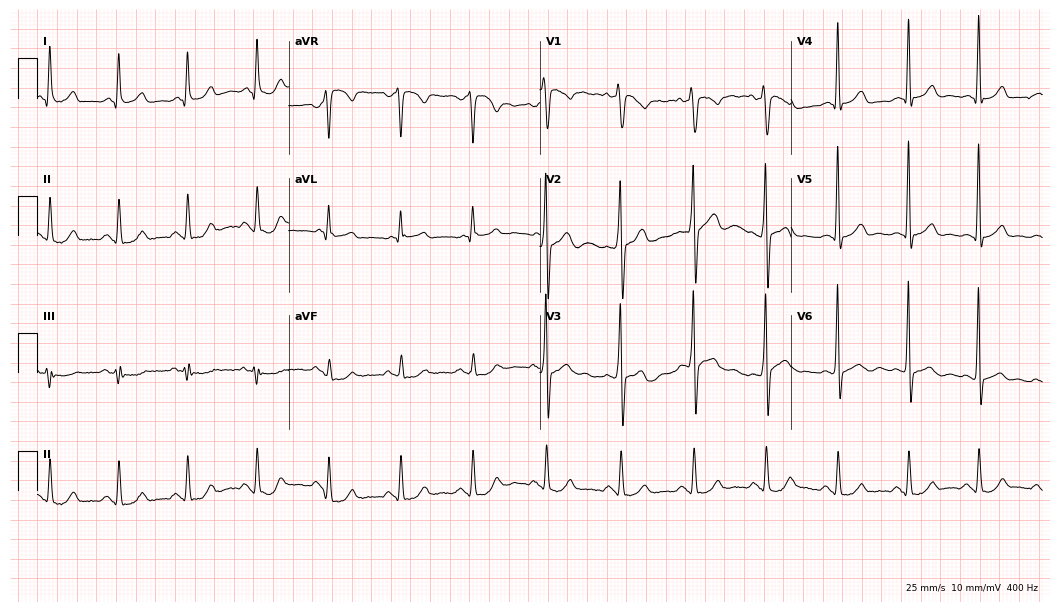
Electrocardiogram (10.2-second recording at 400 Hz), a 47-year-old man. Overall reading on record: normal ECG.